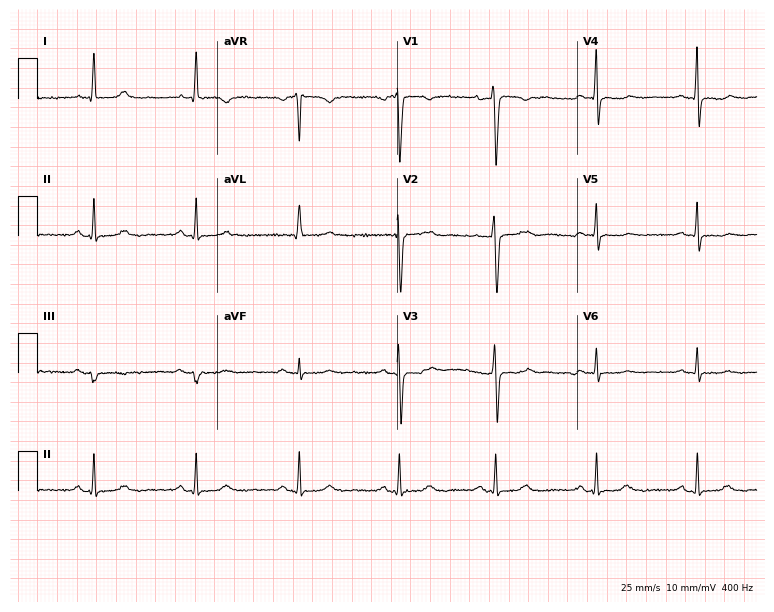
Resting 12-lead electrocardiogram. Patient: a 56-year-old female. None of these six findings is recorded: first-degree AV block, right bundle branch block (RBBB), left bundle branch block (LBBB), sinus bradycardia, atrial fibrillation (AF), sinus tachycardia. Other findings, if any, are not listed.